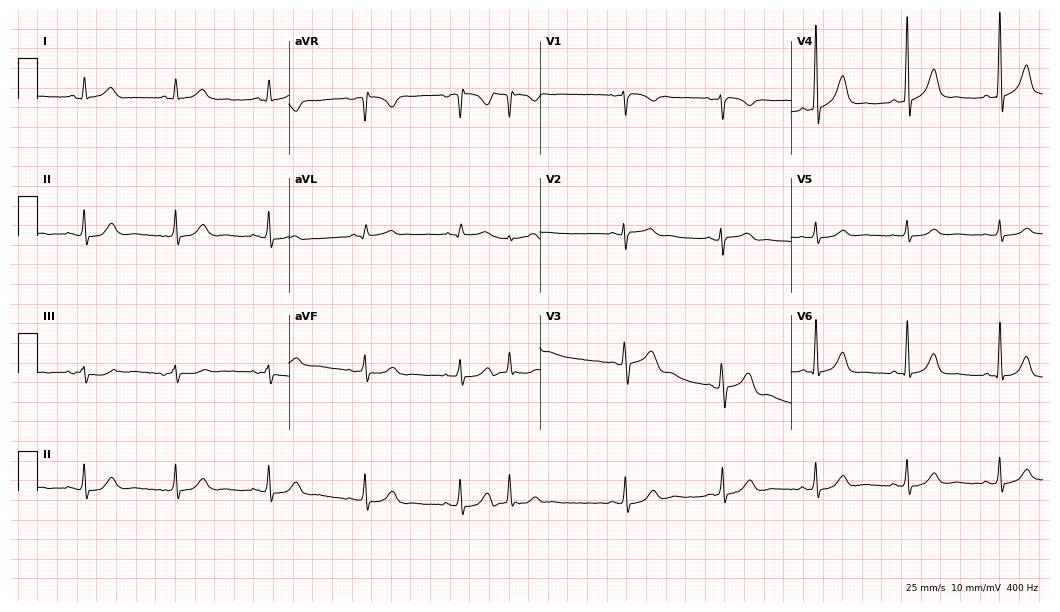
ECG — a 46-year-old female. Screened for six findings — first-degree AV block, right bundle branch block (RBBB), left bundle branch block (LBBB), sinus bradycardia, atrial fibrillation (AF), sinus tachycardia — none is recorded.